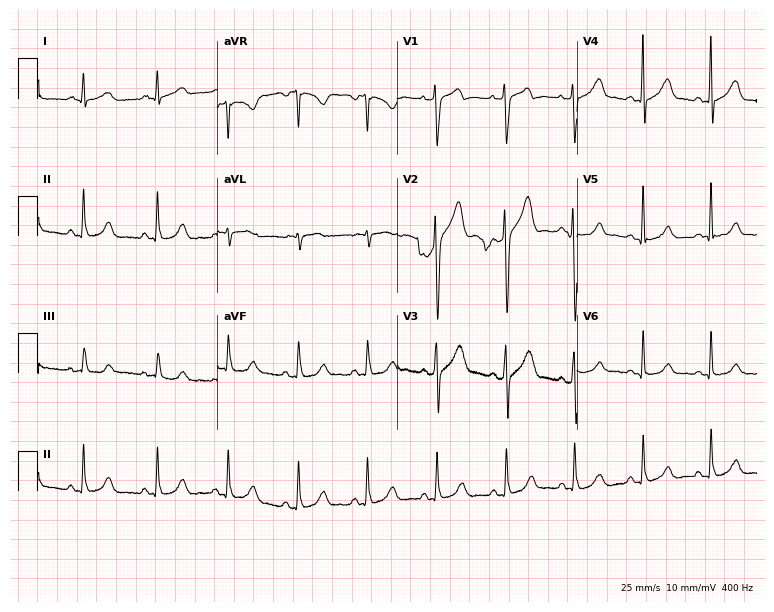
Resting 12-lead electrocardiogram. Patient: a 42-year-old male. None of these six findings is recorded: first-degree AV block, right bundle branch block, left bundle branch block, sinus bradycardia, atrial fibrillation, sinus tachycardia. Findings outside these six are not listed.